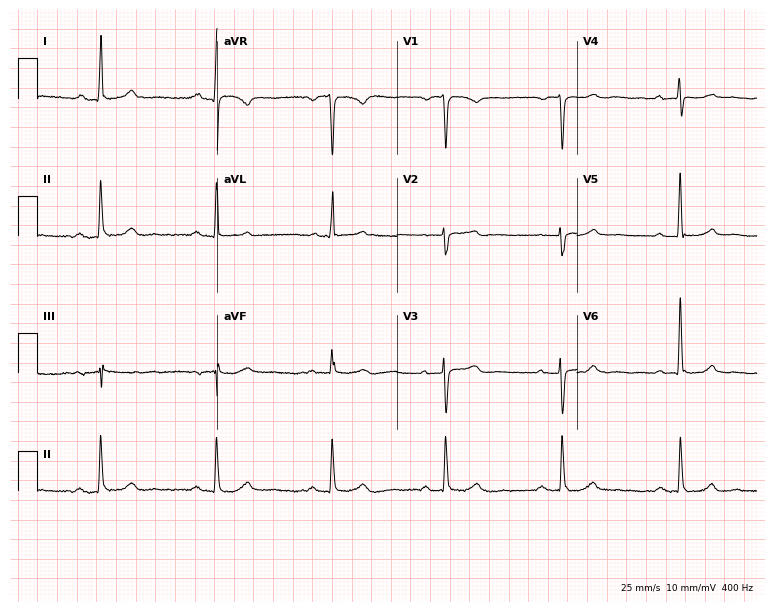
Electrocardiogram, a female patient, 68 years old. Interpretation includes first-degree AV block.